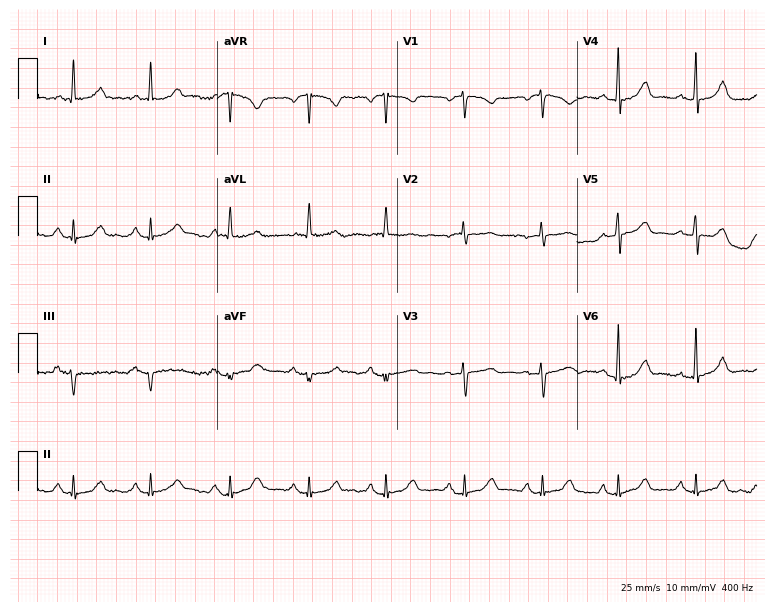
Electrocardiogram (7.3-second recording at 400 Hz), a female patient, 66 years old. Overall reading on record: normal ECG.